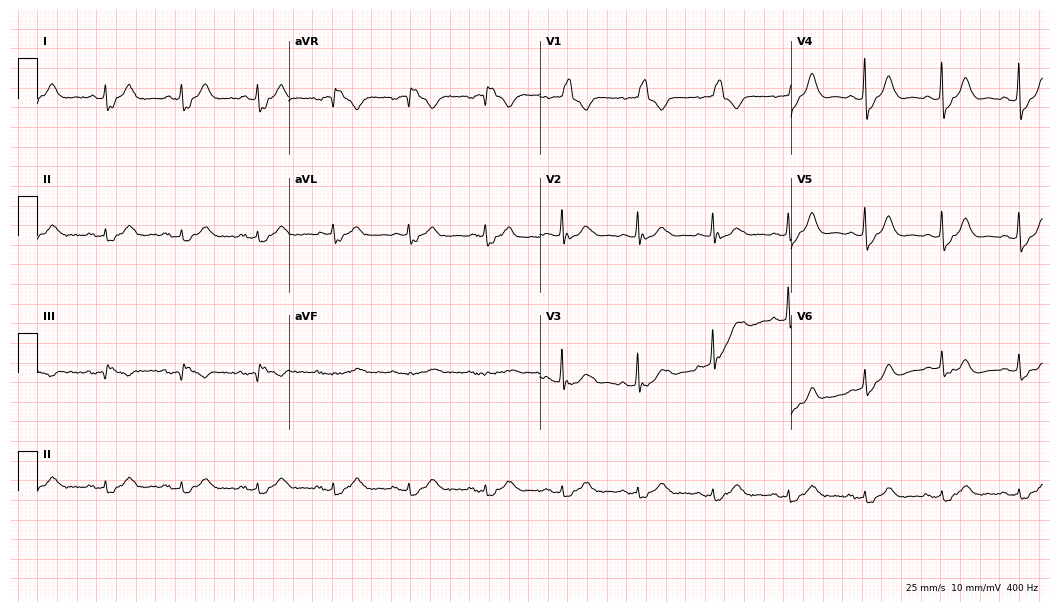
12-lead ECG from an 85-year-old female. Findings include right bundle branch block.